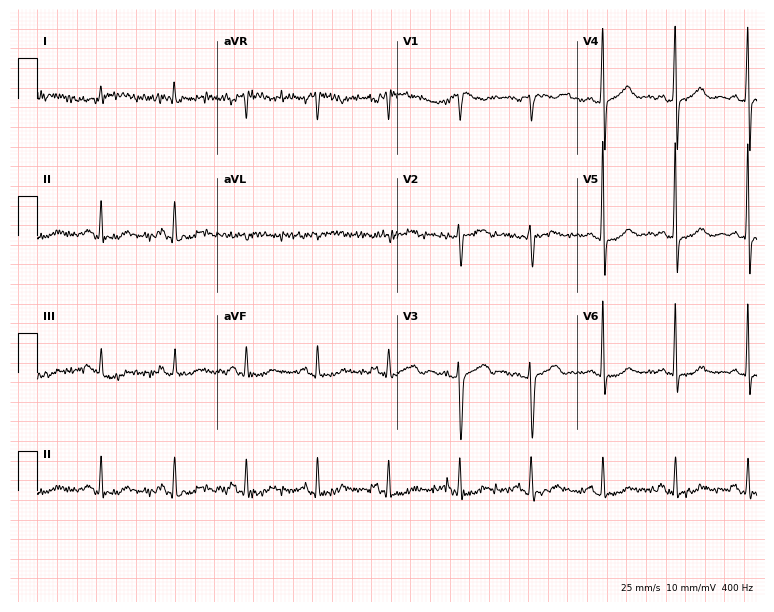
Resting 12-lead electrocardiogram. Patient: a 75-year-old male. None of these six findings is recorded: first-degree AV block, right bundle branch block, left bundle branch block, sinus bradycardia, atrial fibrillation, sinus tachycardia.